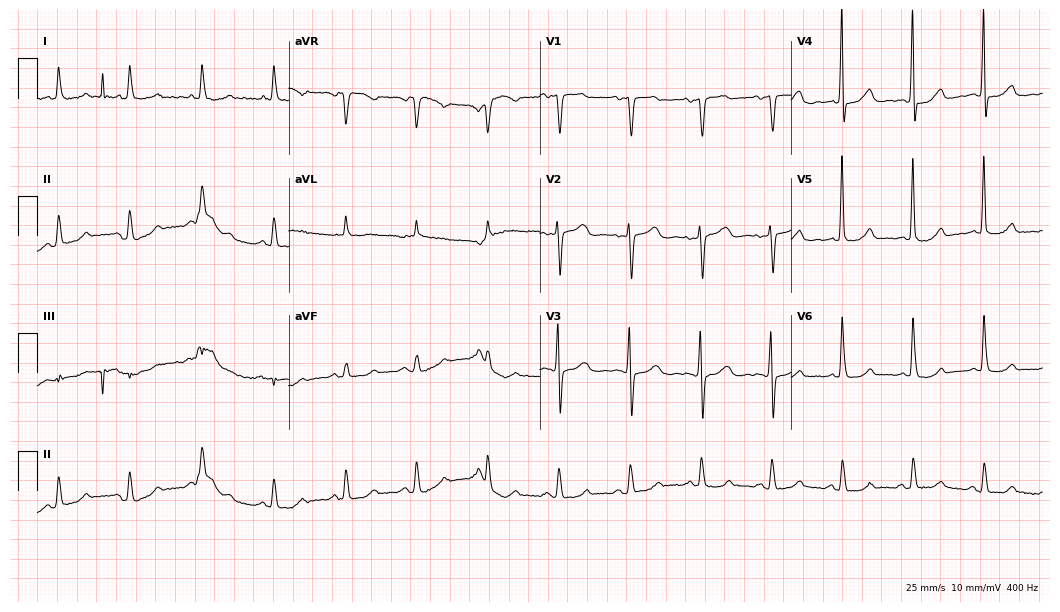
ECG — an 85-year-old female patient. Screened for six findings — first-degree AV block, right bundle branch block, left bundle branch block, sinus bradycardia, atrial fibrillation, sinus tachycardia — none is recorded. Other findings, if any, are not listed.